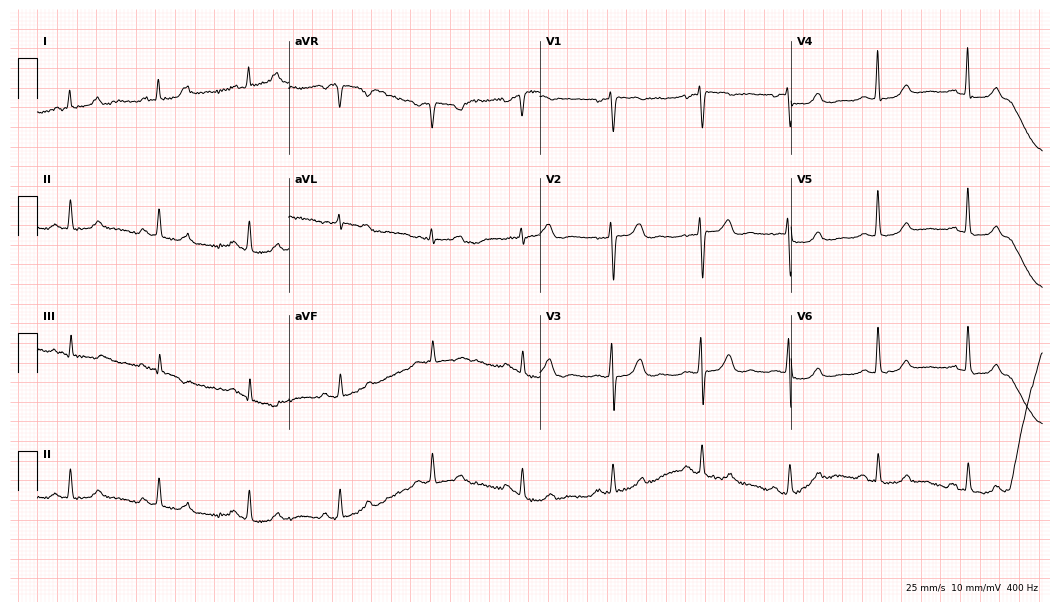
Electrocardiogram, a 59-year-old female. Overall reading on record: normal ECG.